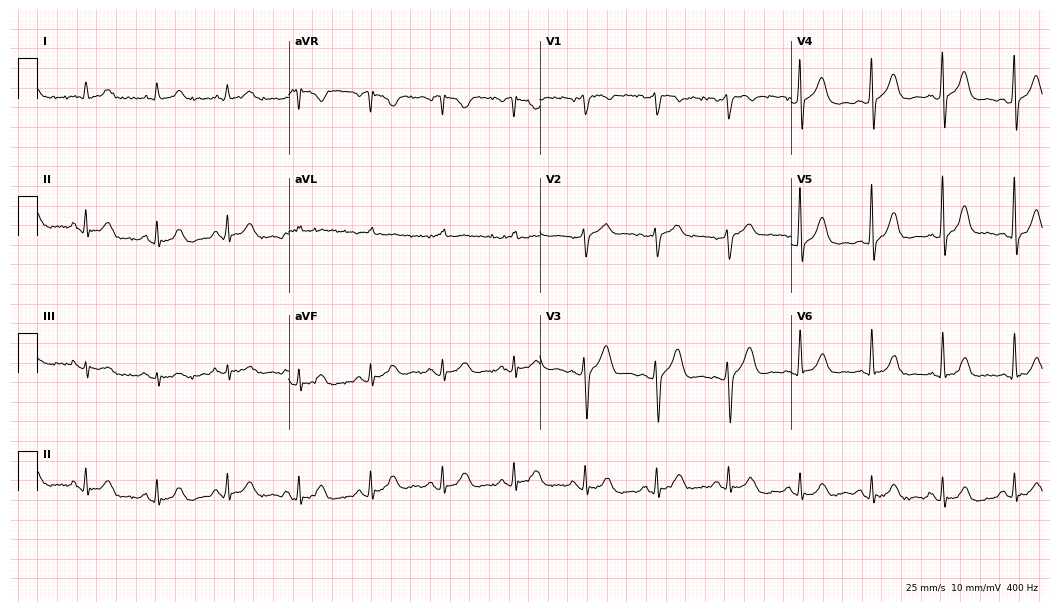
12-lead ECG from a 61-year-old female. Labelled as a normal ECG.